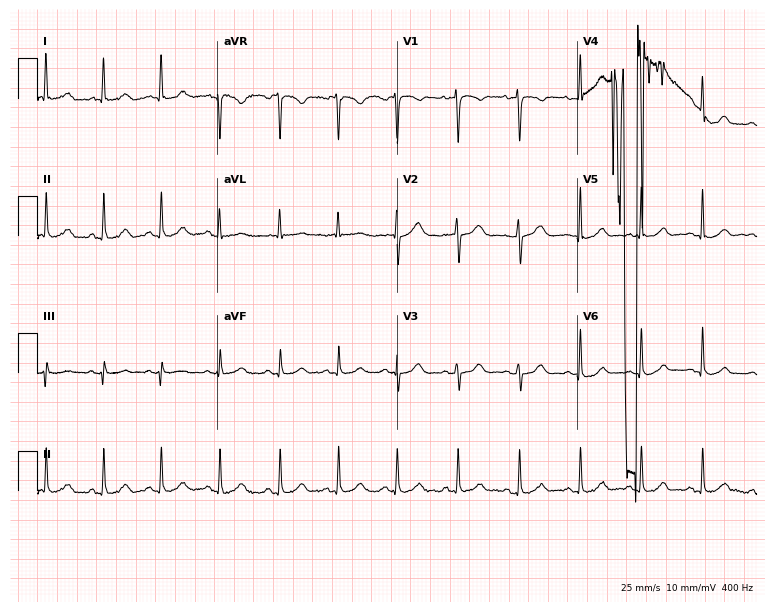
ECG (7.3-second recording at 400 Hz) — a woman, 26 years old. Labelled as a normal ECG.